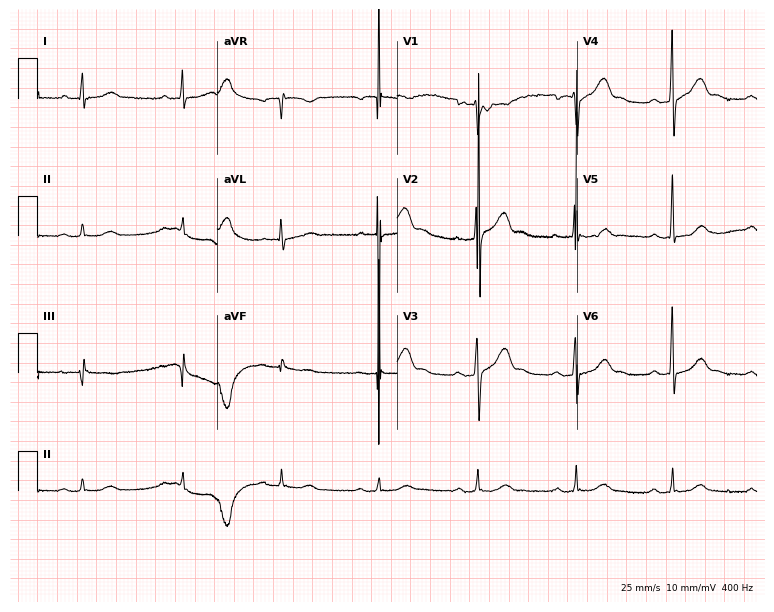
ECG (7.3-second recording at 400 Hz) — a 63-year-old man. Screened for six findings — first-degree AV block, right bundle branch block, left bundle branch block, sinus bradycardia, atrial fibrillation, sinus tachycardia — none is recorded. Other findings, if any, are not listed.